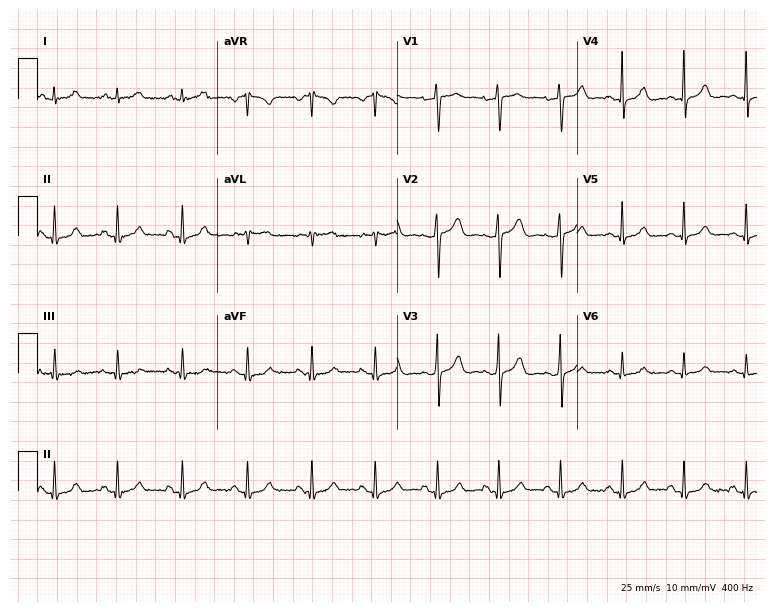
12-lead ECG (7.3-second recording at 400 Hz) from a 43-year-old female. Labelled as a normal ECG.